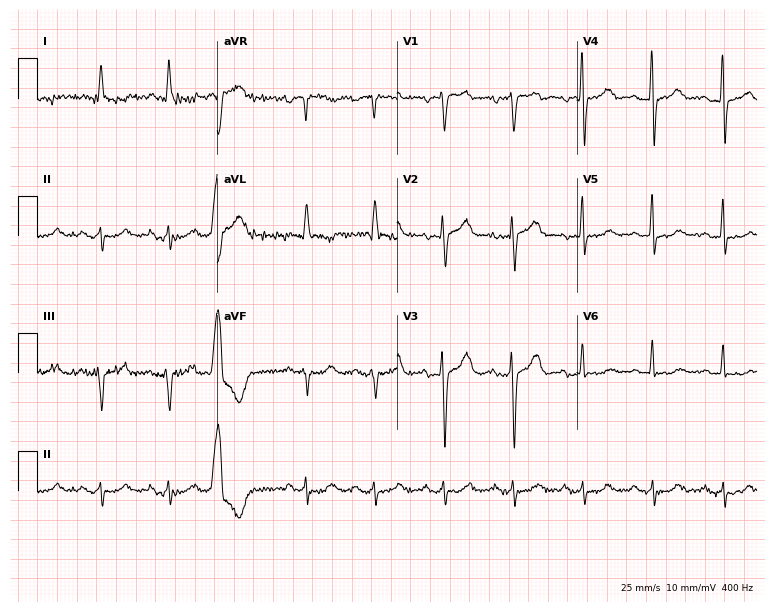
Resting 12-lead electrocardiogram (7.3-second recording at 400 Hz). Patient: a 69-year-old male. None of these six findings is recorded: first-degree AV block, right bundle branch block, left bundle branch block, sinus bradycardia, atrial fibrillation, sinus tachycardia.